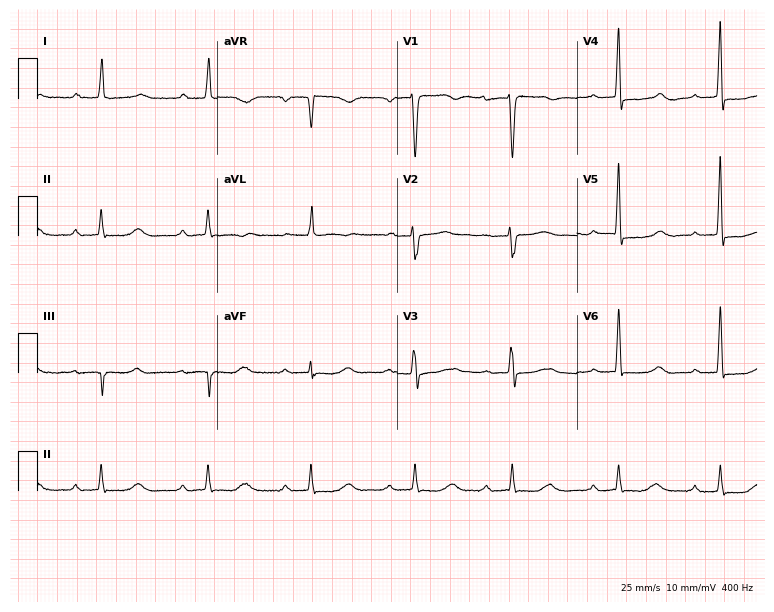
Resting 12-lead electrocardiogram. Patient: a female, 71 years old. The tracing shows first-degree AV block.